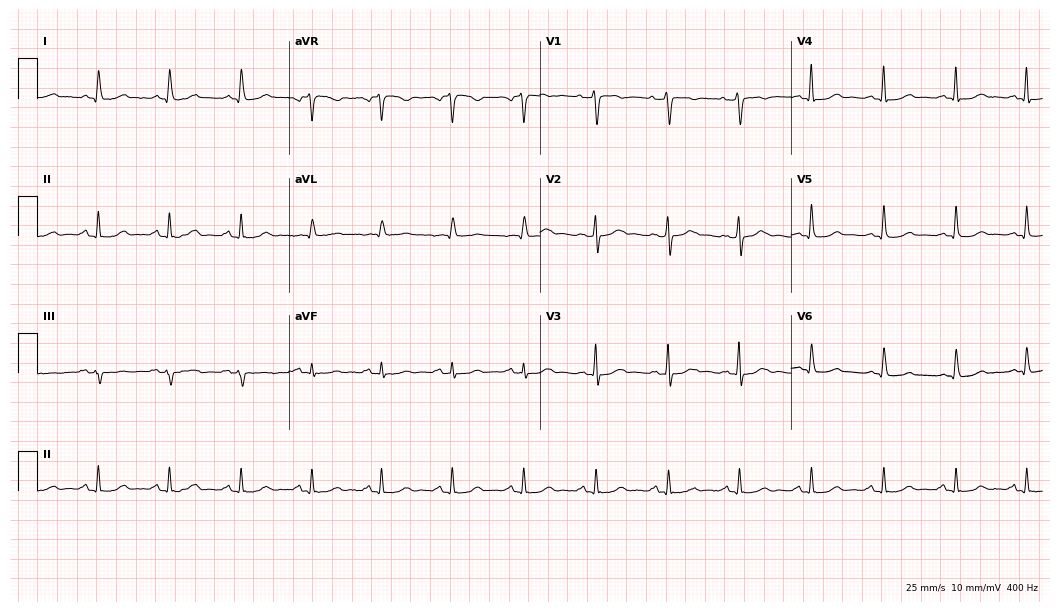
ECG — a female, 55 years old. Screened for six findings — first-degree AV block, right bundle branch block (RBBB), left bundle branch block (LBBB), sinus bradycardia, atrial fibrillation (AF), sinus tachycardia — none is recorded.